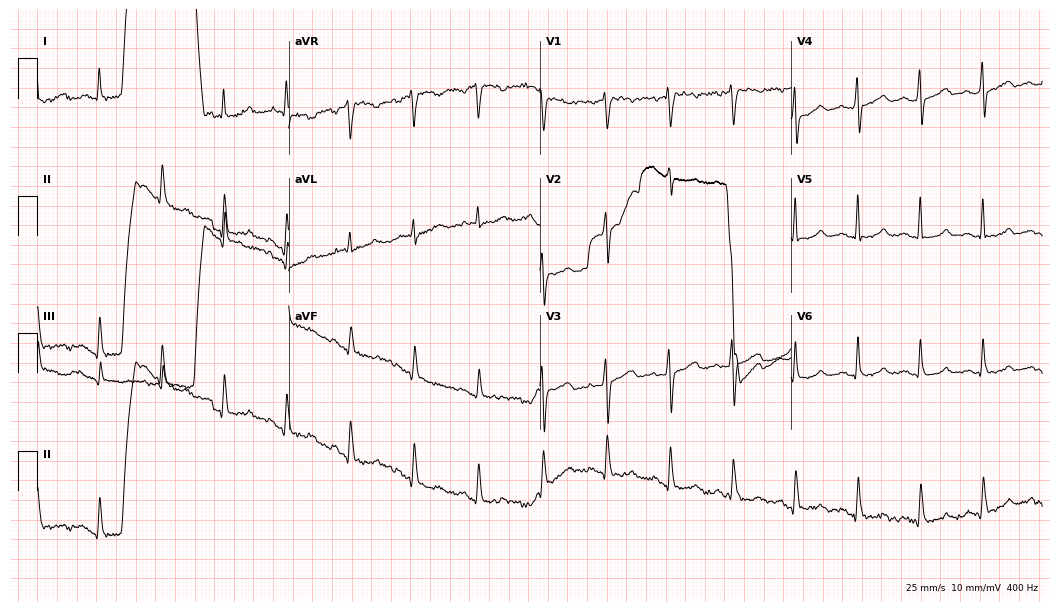
Resting 12-lead electrocardiogram. Patient: a female, 35 years old. None of these six findings is recorded: first-degree AV block, right bundle branch block (RBBB), left bundle branch block (LBBB), sinus bradycardia, atrial fibrillation (AF), sinus tachycardia. Findings outside these six are not listed.